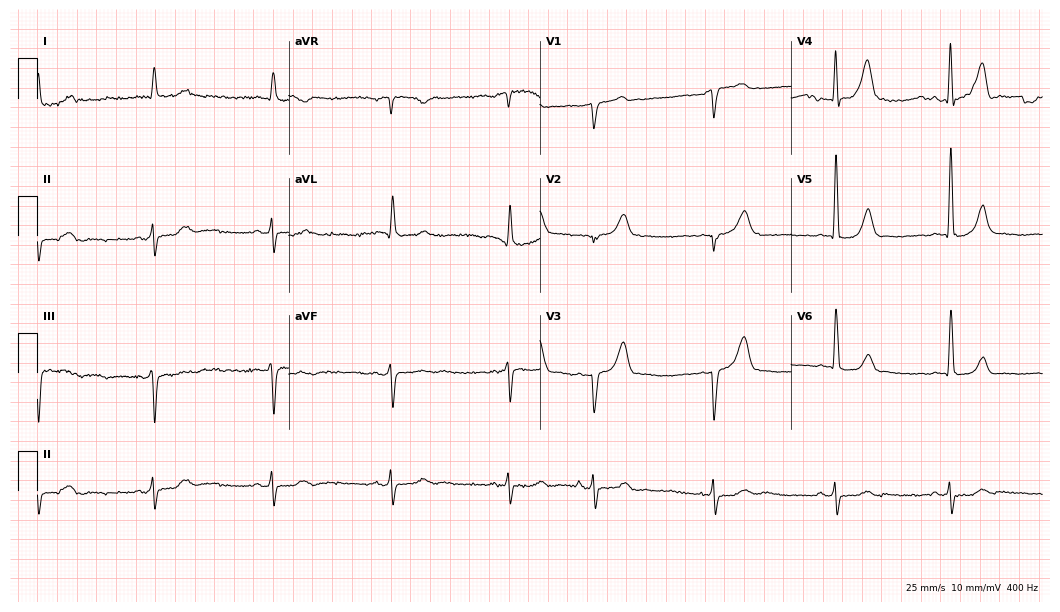
12-lead ECG (10.2-second recording at 400 Hz) from an 84-year-old male patient. Screened for six findings — first-degree AV block, right bundle branch block (RBBB), left bundle branch block (LBBB), sinus bradycardia, atrial fibrillation (AF), sinus tachycardia — none is recorded.